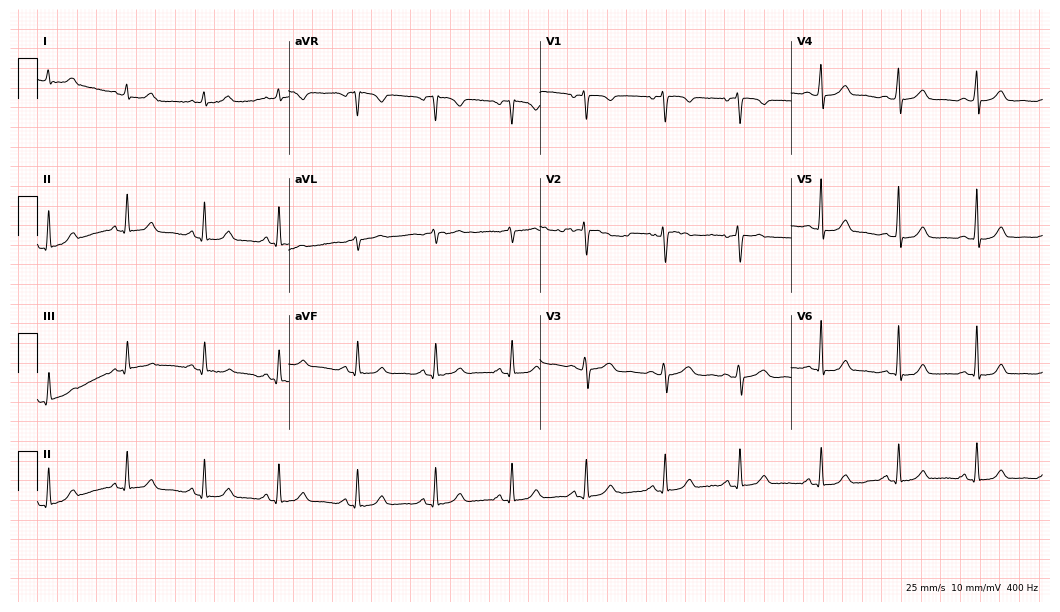
Standard 12-lead ECG recorded from a female patient, 38 years old. Read as a normal ECG.